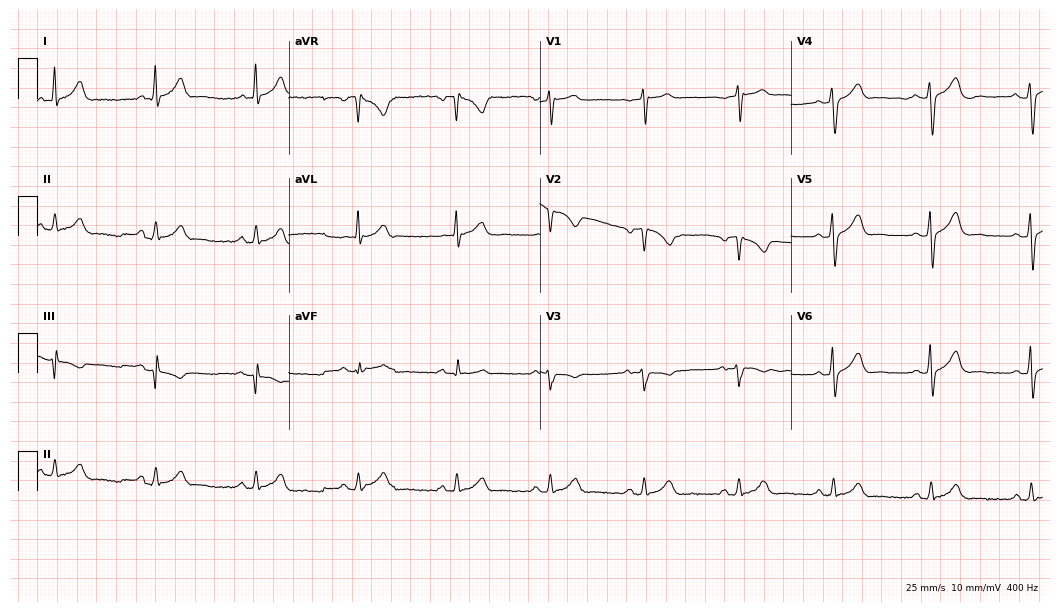
ECG (10.2-second recording at 400 Hz) — a 45-year-old man. Screened for six findings — first-degree AV block, right bundle branch block, left bundle branch block, sinus bradycardia, atrial fibrillation, sinus tachycardia — none is recorded. Other findings, if any, are not listed.